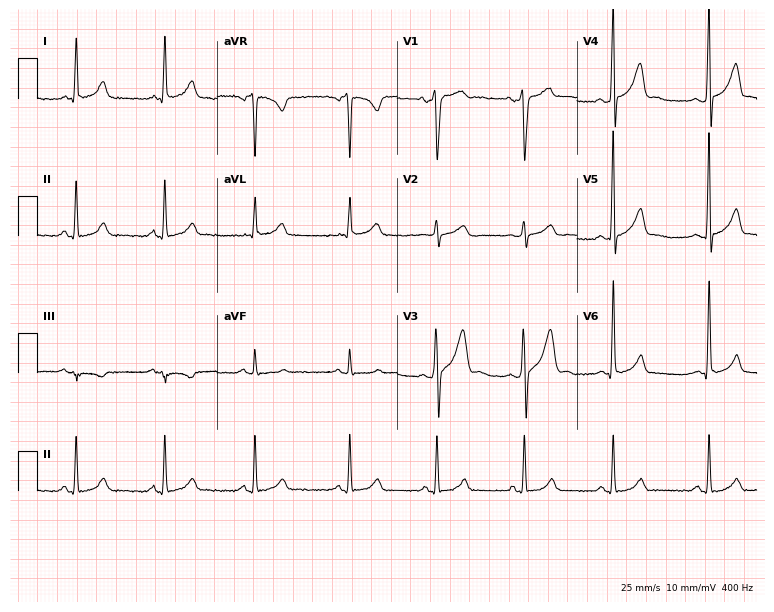
Resting 12-lead electrocardiogram. Patient: a man, 34 years old. Read as a normal ECG.